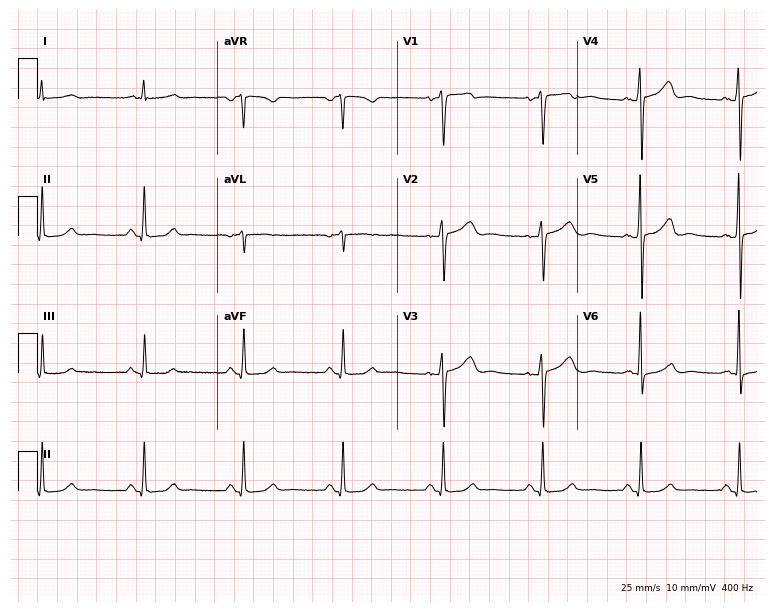
Resting 12-lead electrocardiogram. Patient: a male, 60 years old. None of these six findings is recorded: first-degree AV block, right bundle branch block, left bundle branch block, sinus bradycardia, atrial fibrillation, sinus tachycardia. Findings outside these six are not listed.